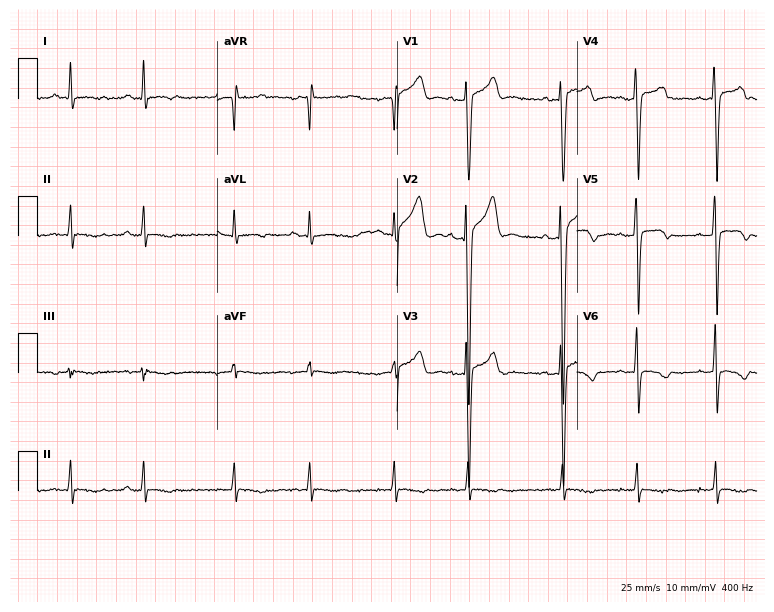
12-lead ECG from a male patient, 25 years old. No first-degree AV block, right bundle branch block (RBBB), left bundle branch block (LBBB), sinus bradycardia, atrial fibrillation (AF) or sinus tachycardia recorded for this tracing. Other findings, if any, are not listed.